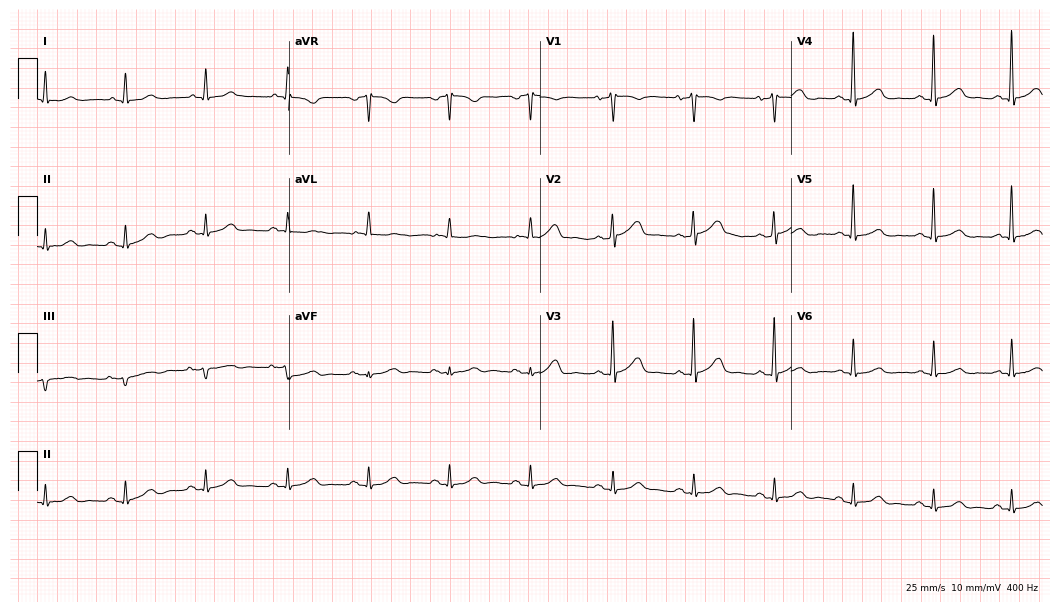
Standard 12-lead ECG recorded from a male, 72 years old. Read as a normal ECG.